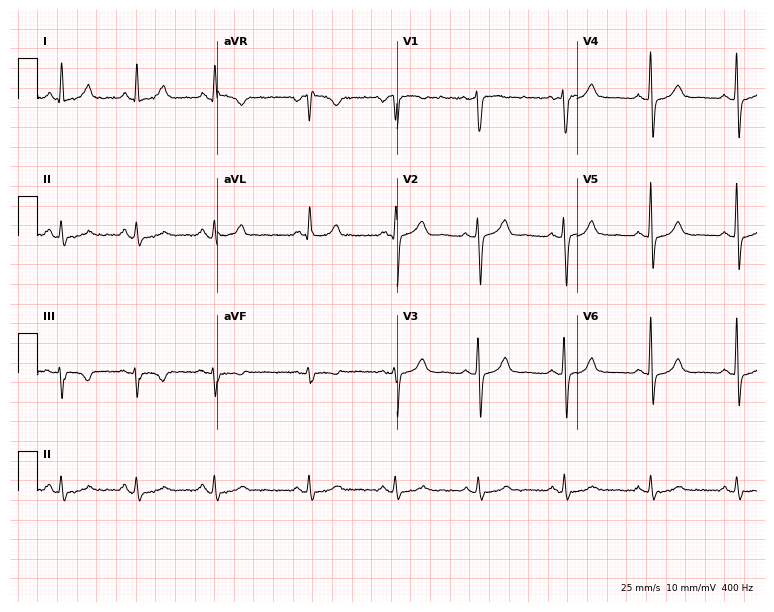
ECG (7.3-second recording at 400 Hz) — a 42-year-old female patient. Screened for six findings — first-degree AV block, right bundle branch block, left bundle branch block, sinus bradycardia, atrial fibrillation, sinus tachycardia — none is recorded. Findings outside these six are not listed.